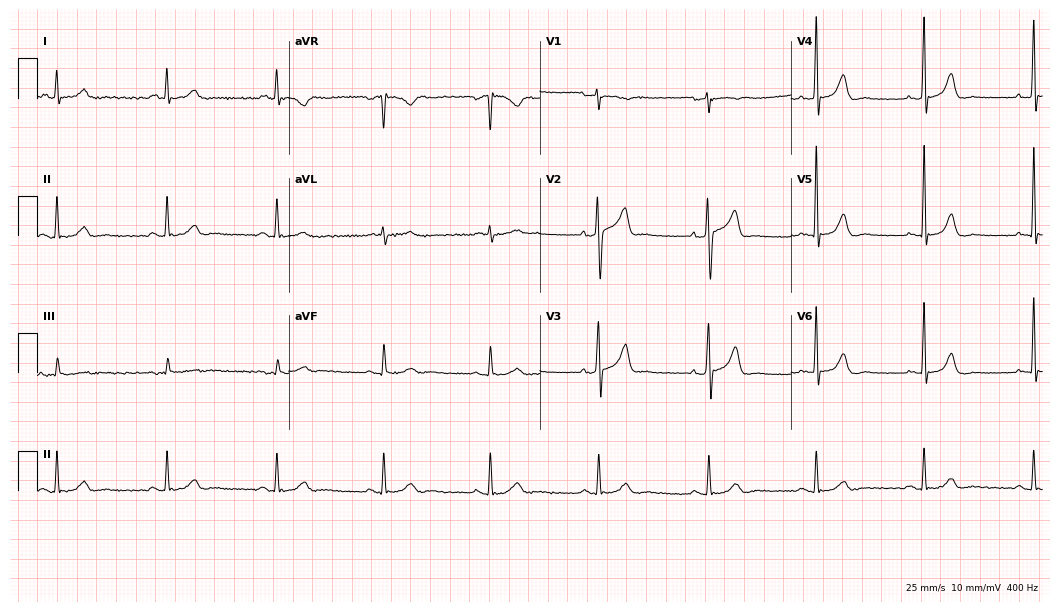
Electrocardiogram, a male patient, 57 years old. Interpretation includes sinus bradycardia (a sinus rate of 50 beats per minute or less).